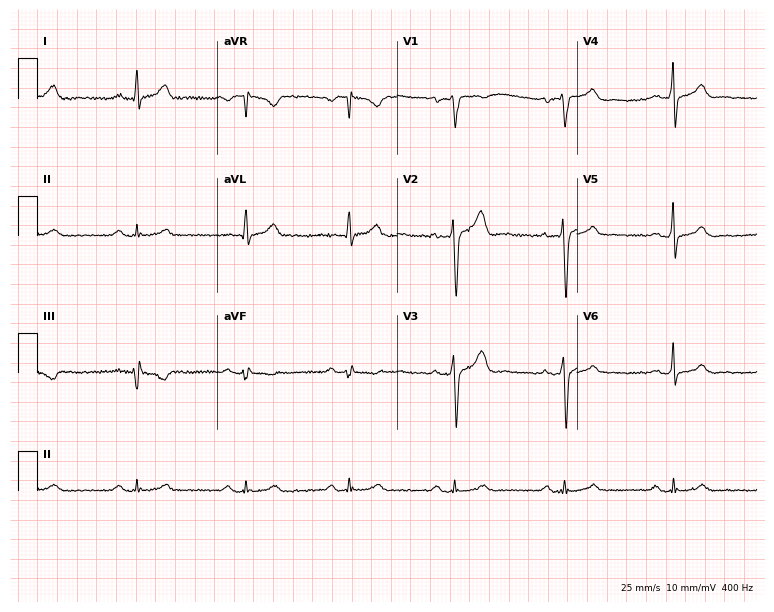
Electrocardiogram (7.3-second recording at 400 Hz), a male patient, 42 years old. Overall reading on record: normal ECG.